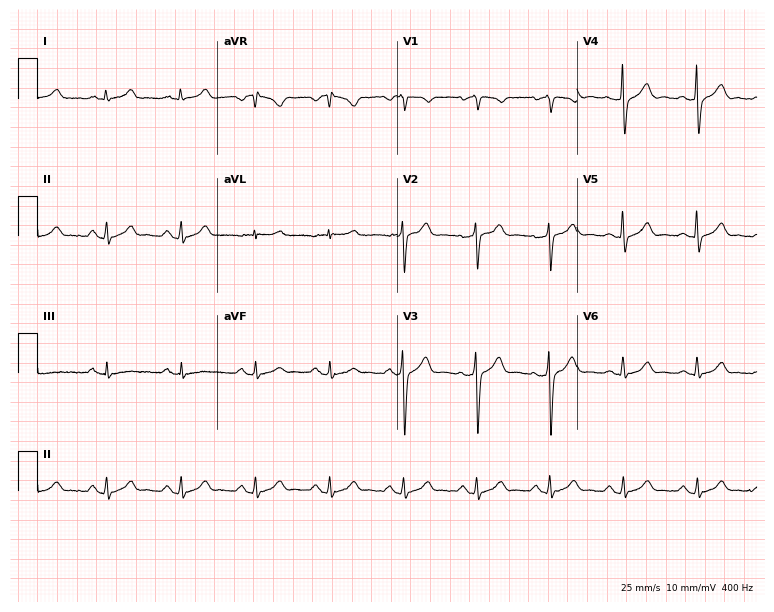
ECG (7.3-second recording at 400 Hz) — a 56-year-old woman. Labelled as a normal ECG.